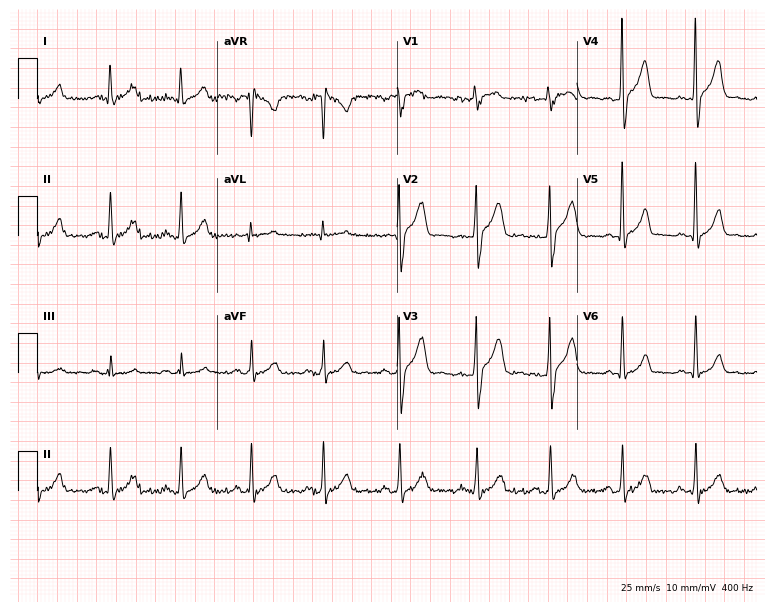
Resting 12-lead electrocardiogram. Patient: a male, 54 years old. Read as a normal ECG.